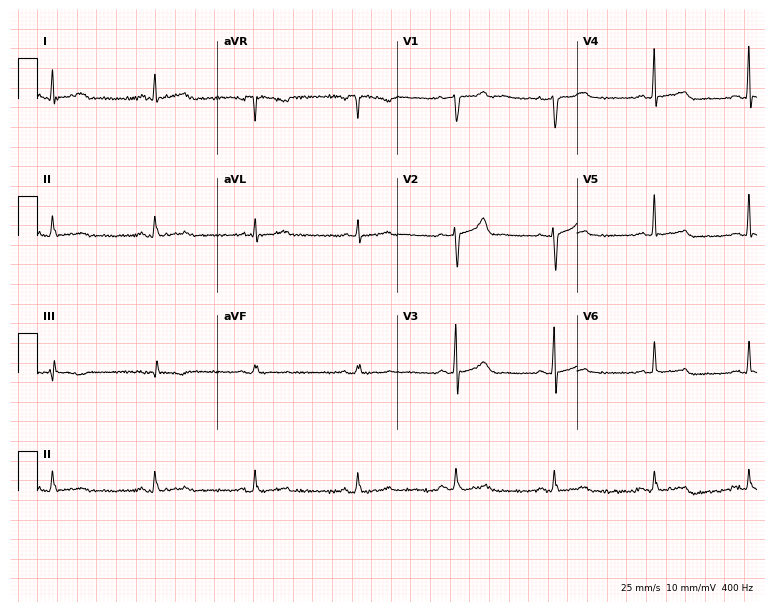
Resting 12-lead electrocardiogram (7.3-second recording at 400 Hz). Patient: a 55-year-old male. Read as a normal ECG.